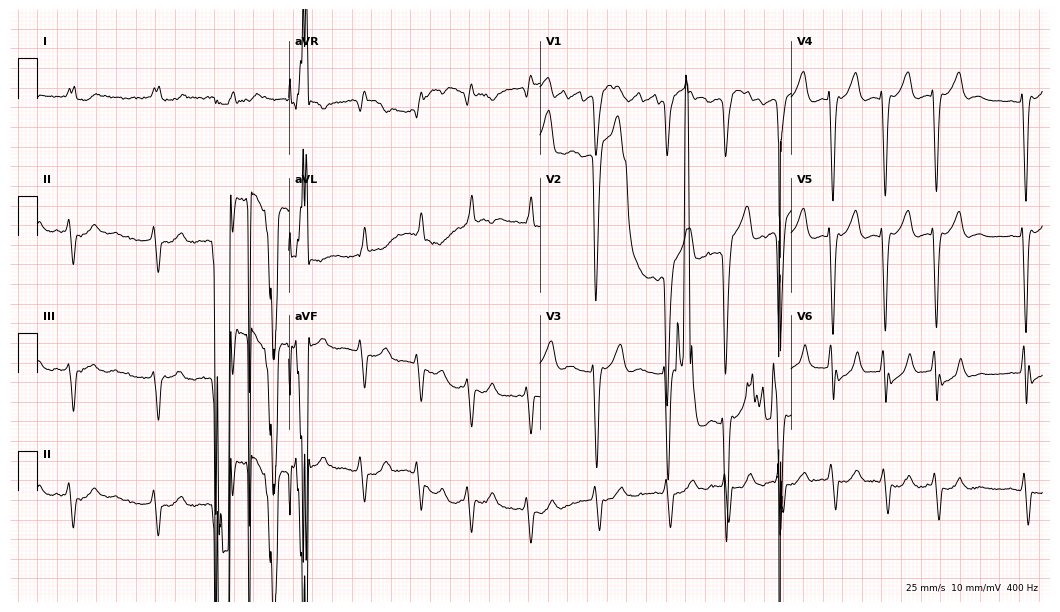
Resting 12-lead electrocardiogram (10.2-second recording at 400 Hz). Patient: a 72-year-old female. The tracing shows atrial fibrillation.